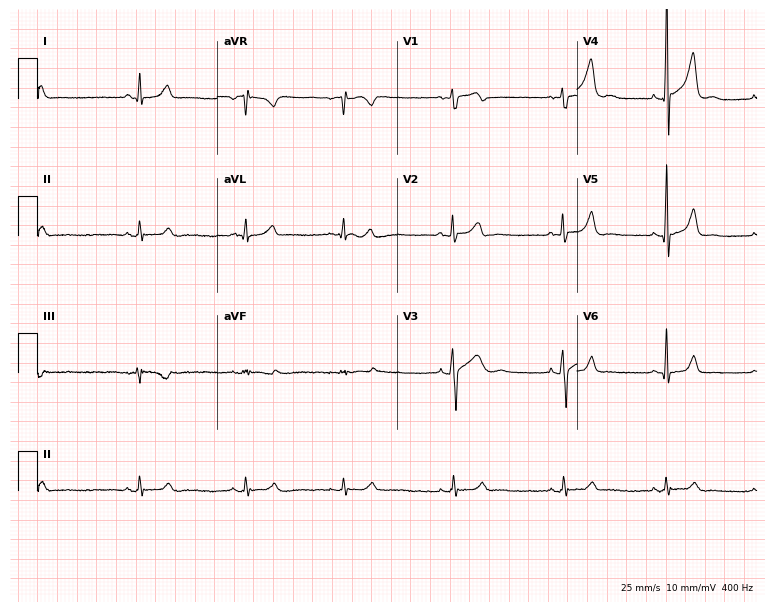
ECG — a male patient, 22 years old. Labelled as a normal ECG.